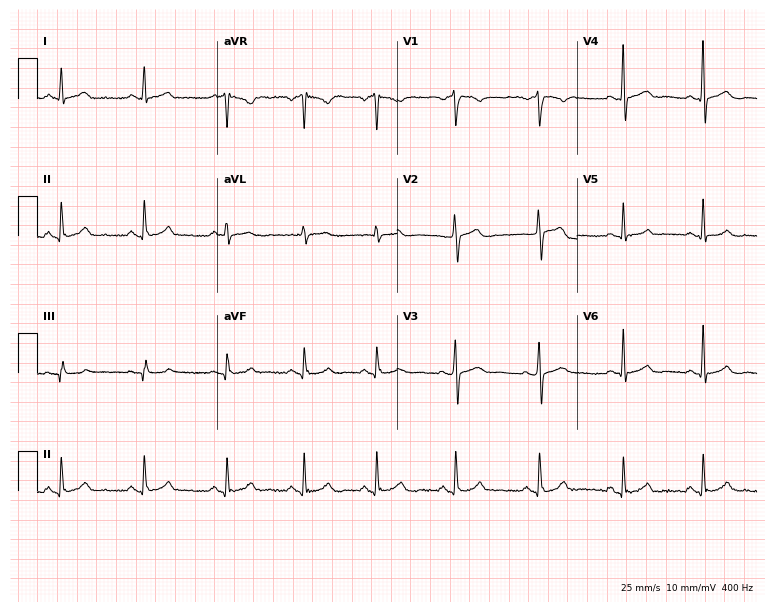
Standard 12-lead ECG recorded from a 42-year-old man (7.3-second recording at 400 Hz). Read as a normal ECG.